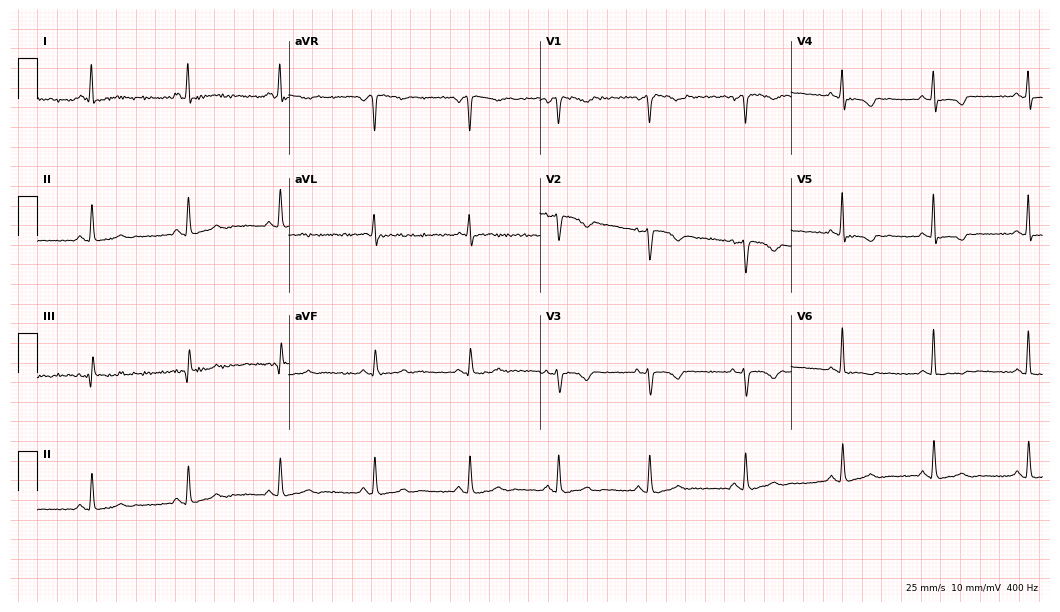
12-lead ECG (10.2-second recording at 400 Hz) from a 47-year-old female. Screened for six findings — first-degree AV block, right bundle branch block, left bundle branch block, sinus bradycardia, atrial fibrillation, sinus tachycardia — none is recorded. Findings outside these six are not listed.